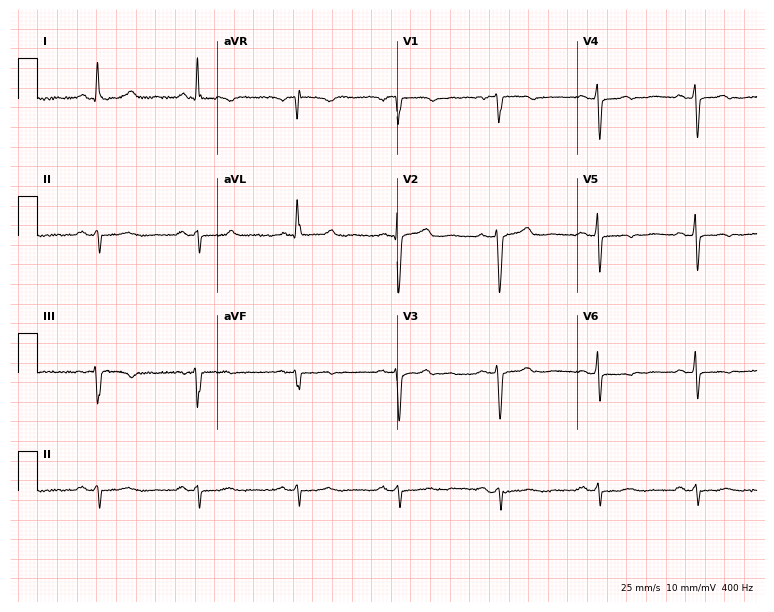
12-lead ECG from a 64-year-old woman (7.3-second recording at 400 Hz). No first-degree AV block, right bundle branch block (RBBB), left bundle branch block (LBBB), sinus bradycardia, atrial fibrillation (AF) or sinus tachycardia recorded for this tracing.